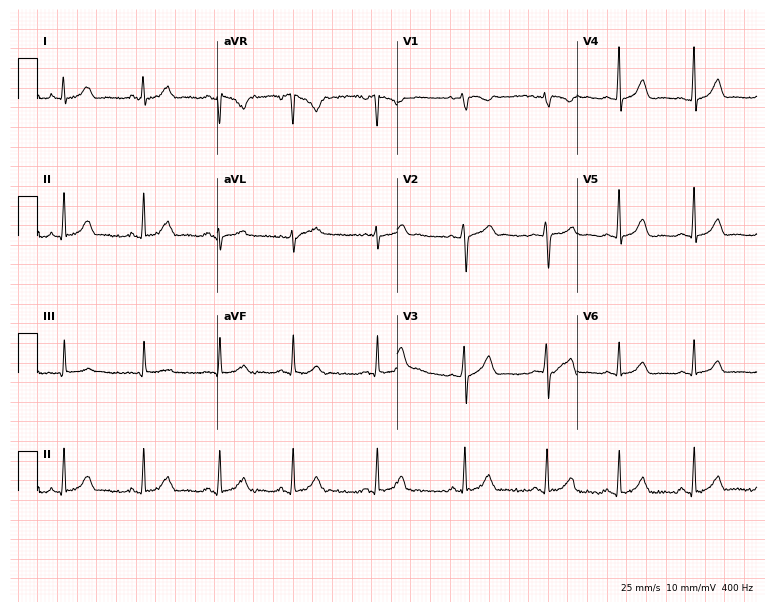
ECG (7.3-second recording at 400 Hz) — a woman, 34 years old. Labelled as a normal ECG.